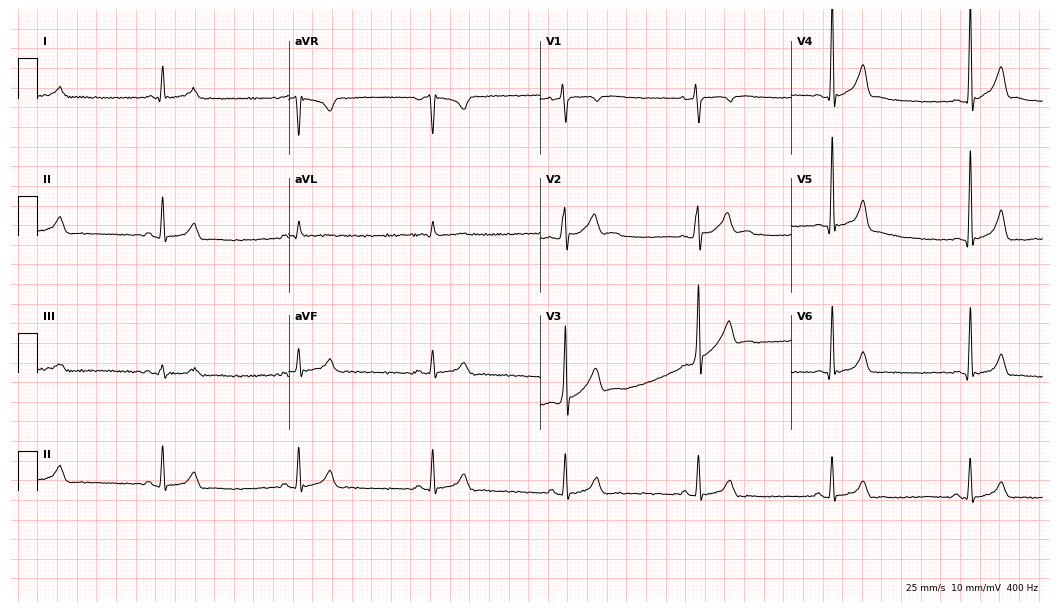
12-lead ECG (10.2-second recording at 400 Hz) from a male patient, 31 years old. Findings include sinus bradycardia (a sinus rate of 50 beats per minute or less).